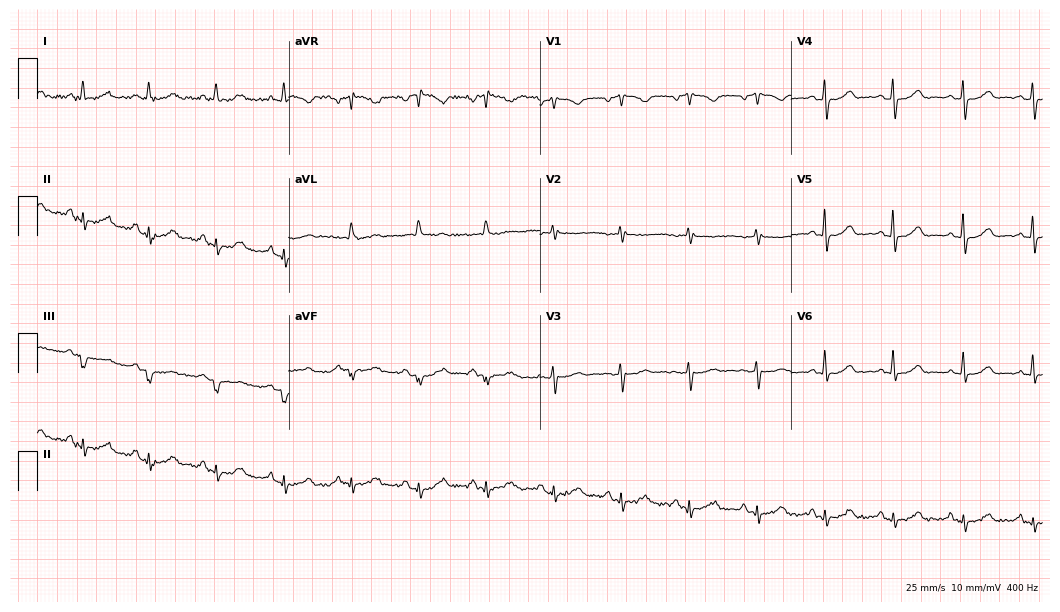
12-lead ECG from a 68-year-old female patient (10.2-second recording at 400 Hz). No first-degree AV block, right bundle branch block (RBBB), left bundle branch block (LBBB), sinus bradycardia, atrial fibrillation (AF) or sinus tachycardia recorded for this tracing. Other findings, if any, are not listed.